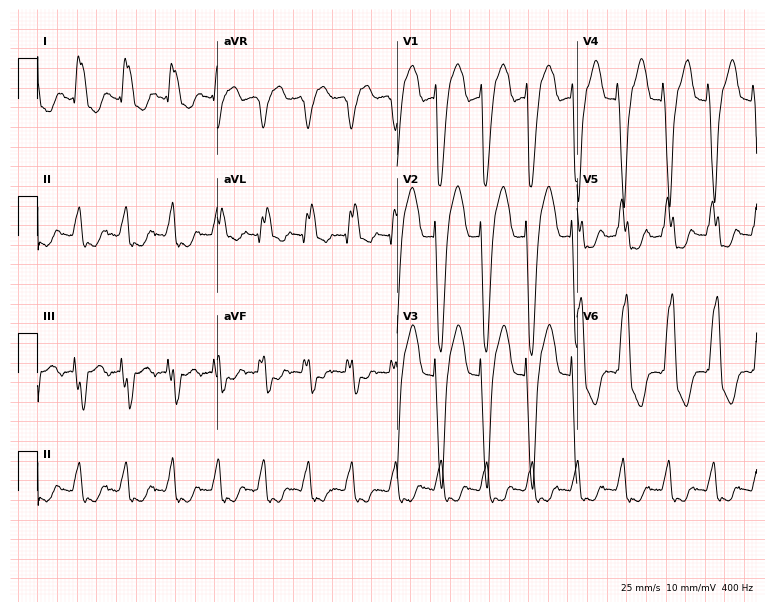
Standard 12-lead ECG recorded from a female, 81 years old. The tracing shows left bundle branch block, sinus tachycardia (a sinus rate of 100 beats per minute or more).